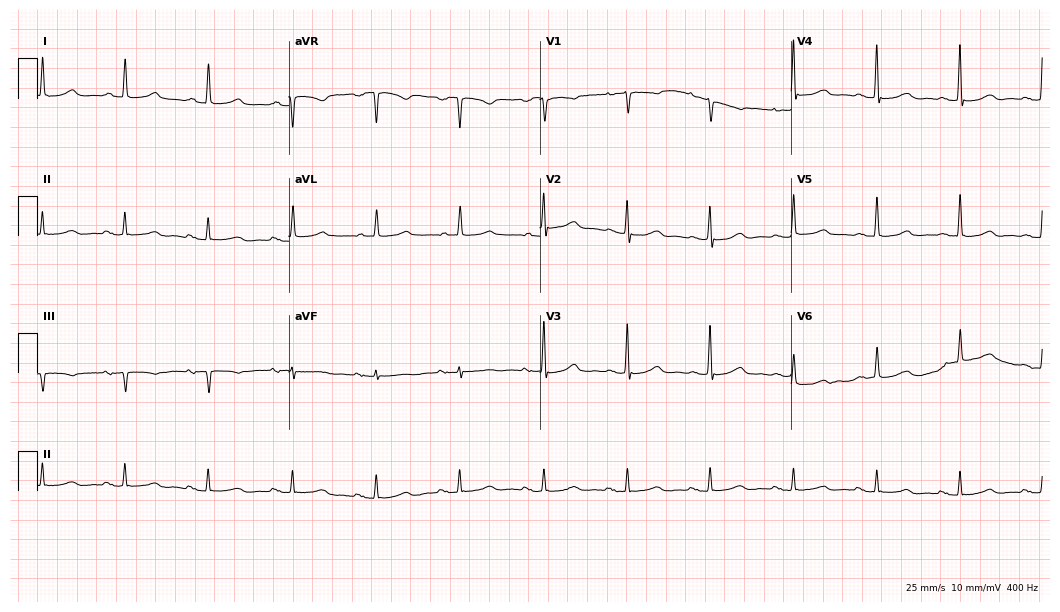
Resting 12-lead electrocardiogram (10.2-second recording at 400 Hz). Patient: a 76-year-old woman. Read as a normal ECG.